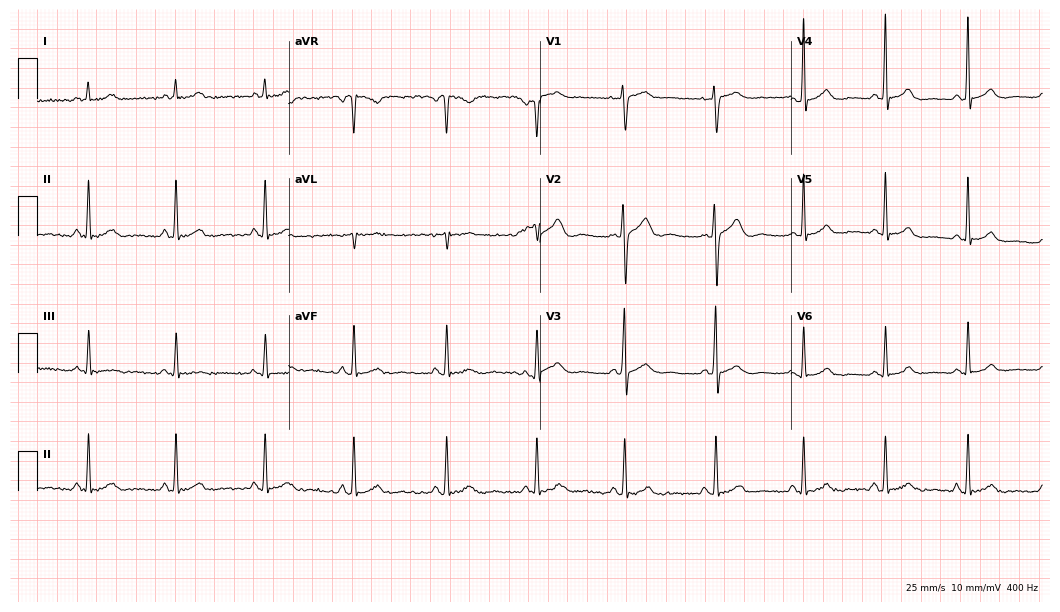
12-lead ECG from a 31-year-old female patient. No first-degree AV block, right bundle branch block (RBBB), left bundle branch block (LBBB), sinus bradycardia, atrial fibrillation (AF) or sinus tachycardia recorded for this tracing.